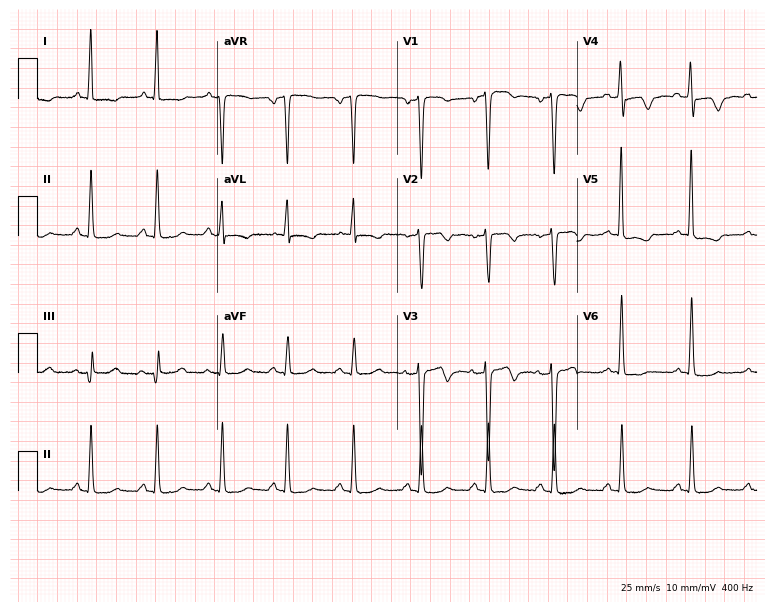
Resting 12-lead electrocardiogram. Patient: a woman, 36 years old. None of these six findings is recorded: first-degree AV block, right bundle branch block (RBBB), left bundle branch block (LBBB), sinus bradycardia, atrial fibrillation (AF), sinus tachycardia. Only these six findings were labelled.